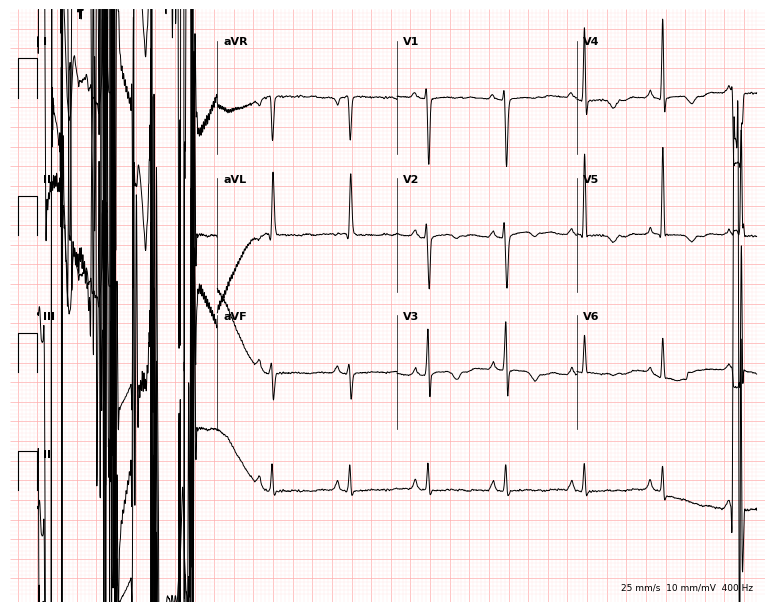
Standard 12-lead ECG recorded from an 86-year-old woman (7.3-second recording at 400 Hz). None of these six findings is recorded: first-degree AV block, right bundle branch block, left bundle branch block, sinus bradycardia, atrial fibrillation, sinus tachycardia. Findings outside these six are not listed.